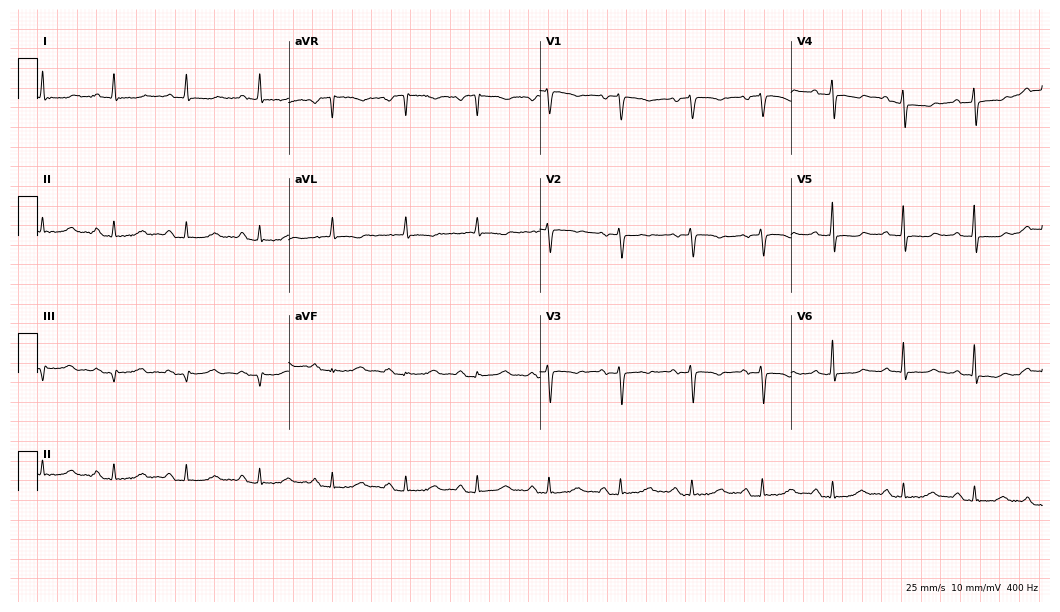
Standard 12-lead ECG recorded from a woman, 69 years old. None of these six findings is recorded: first-degree AV block, right bundle branch block, left bundle branch block, sinus bradycardia, atrial fibrillation, sinus tachycardia. Only these six findings were labelled.